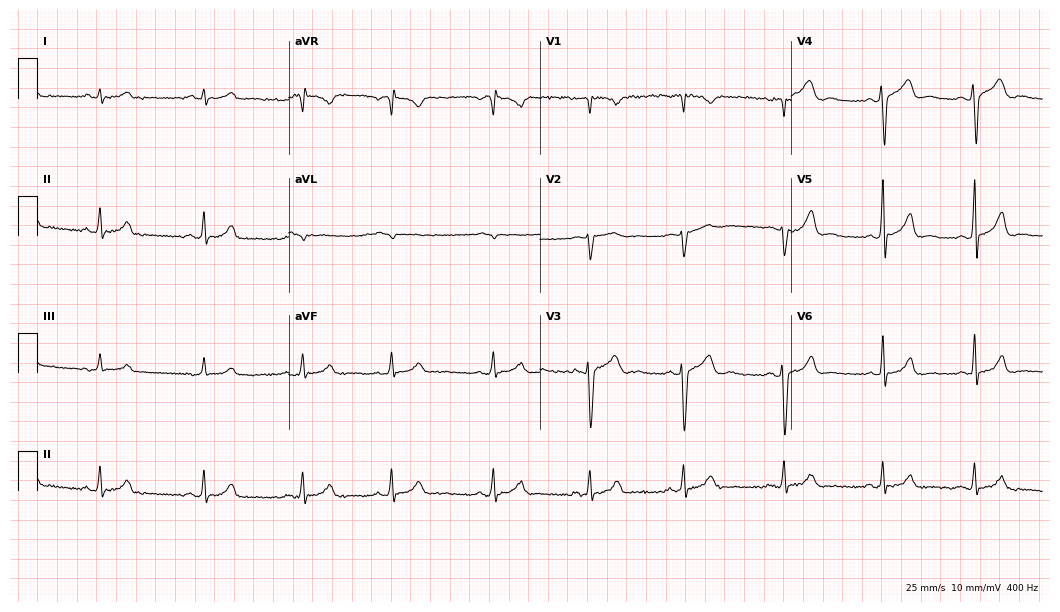
12-lead ECG from a 17-year-old man (10.2-second recording at 400 Hz). Recorded interpretation: within normal limits.